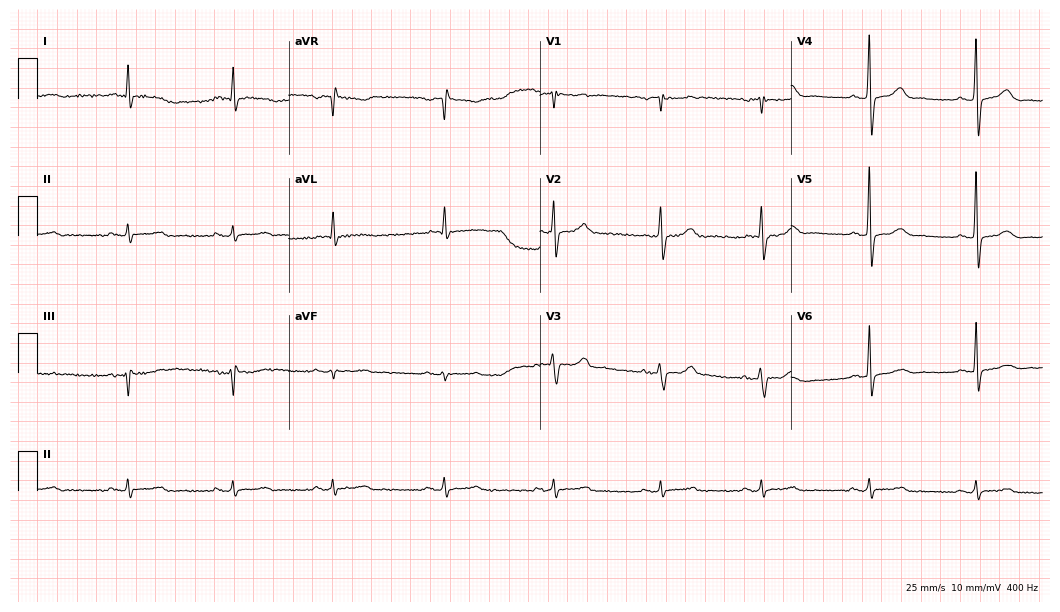
Electrocardiogram, a male, 66 years old. Overall reading on record: normal ECG.